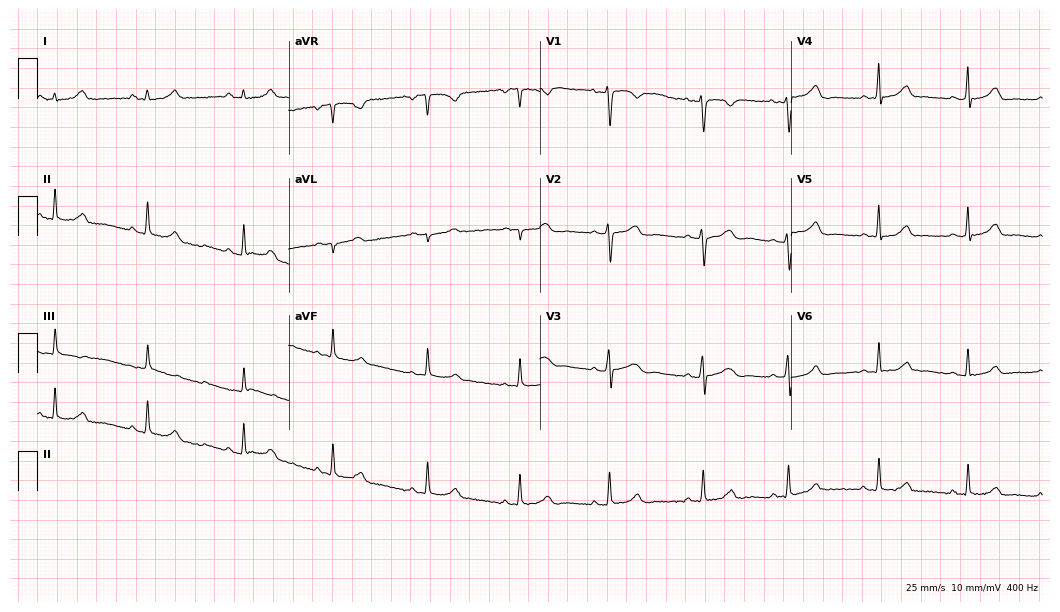
12-lead ECG from a female, 23 years old. Labelled as a normal ECG.